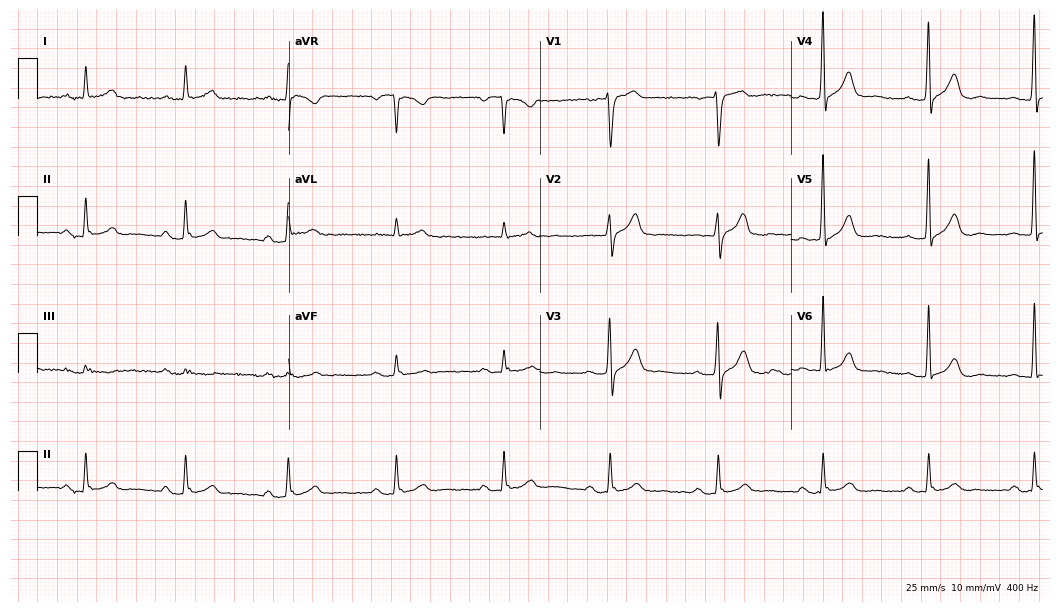
Standard 12-lead ECG recorded from a male, 66 years old. Read as a normal ECG.